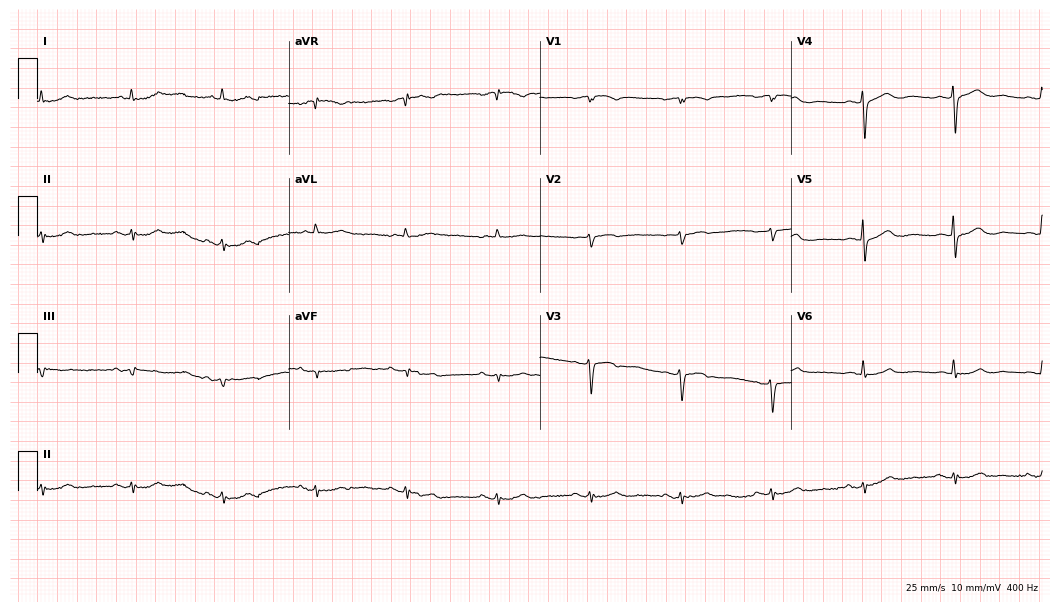
Electrocardiogram, a female patient, 85 years old. Of the six screened findings (first-degree AV block, right bundle branch block (RBBB), left bundle branch block (LBBB), sinus bradycardia, atrial fibrillation (AF), sinus tachycardia), none is recorded.